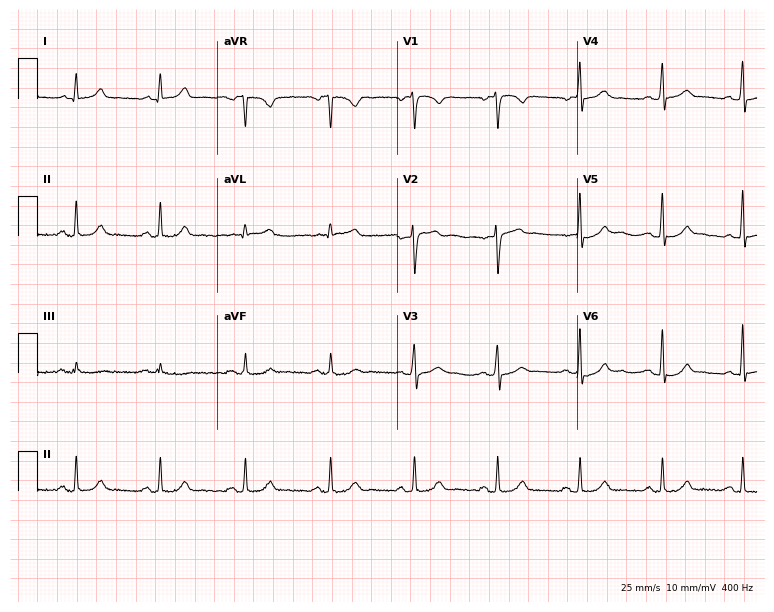
Resting 12-lead electrocardiogram (7.3-second recording at 400 Hz). Patient: a male, 44 years old. Read as a normal ECG.